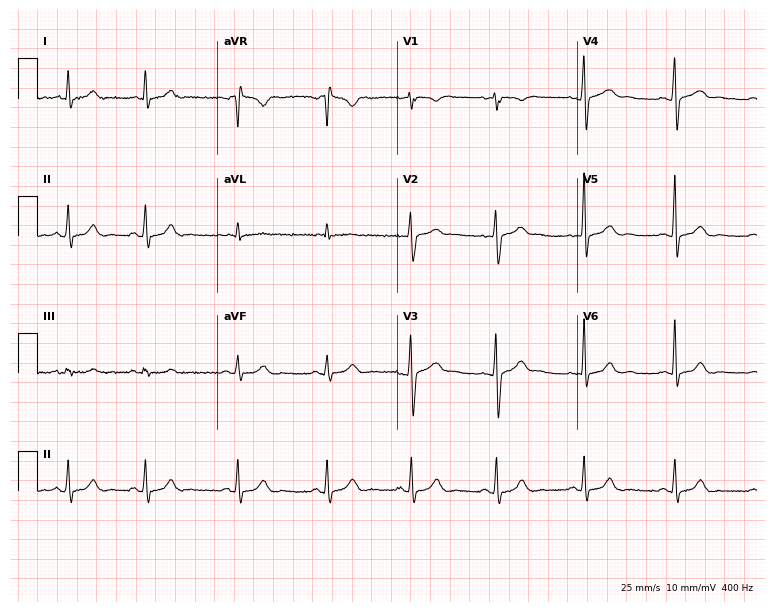
12-lead ECG from a 43-year-old male patient. Recorded interpretation: within normal limits.